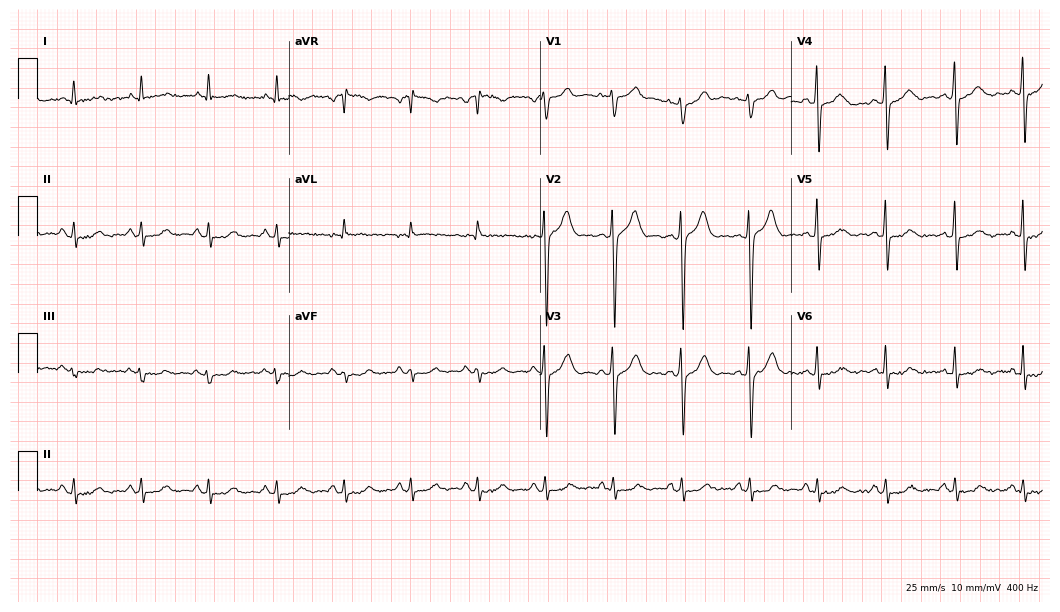
12-lead ECG from a 43-year-old man. No first-degree AV block, right bundle branch block, left bundle branch block, sinus bradycardia, atrial fibrillation or sinus tachycardia recorded for this tracing.